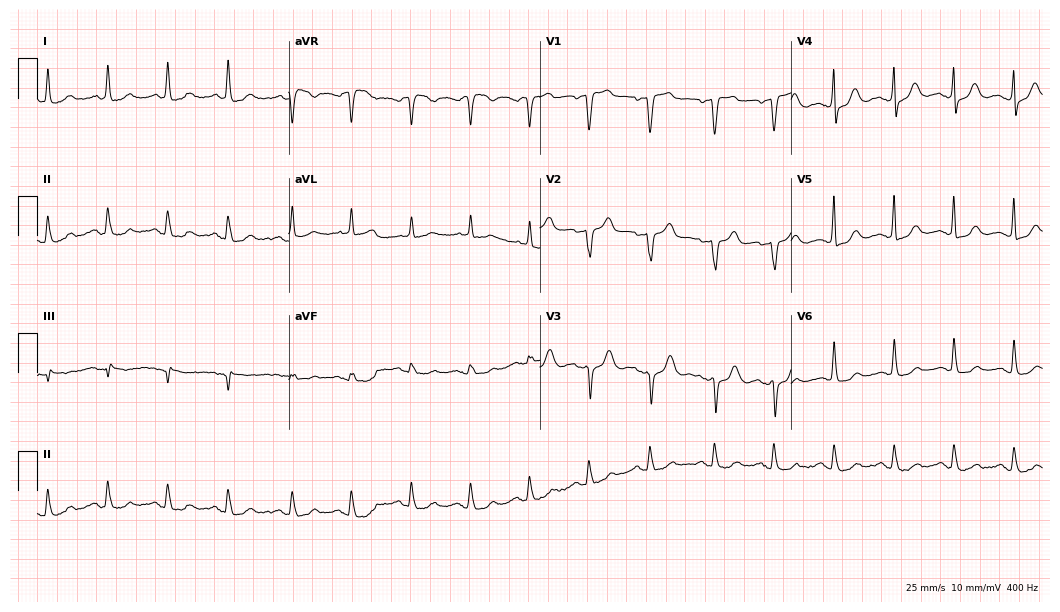
Electrocardiogram, a female, 63 years old. Of the six screened findings (first-degree AV block, right bundle branch block (RBBB), left bundle branch block (LBBB), sinus bradycardia, atrial fibrillation (AF), sinus tachycardia), none is recorded.